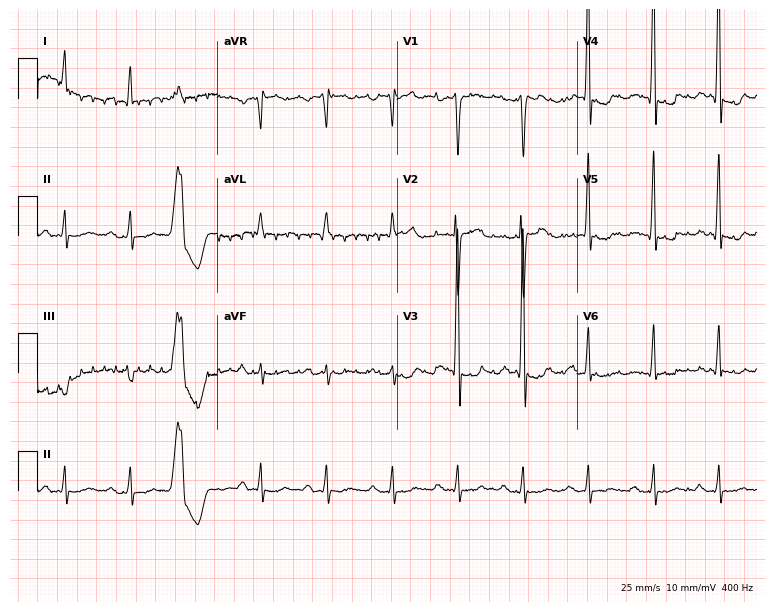
ECG — an 84-year-old male patient. Screened for six findings — first-degree AV block, right bundle branch block, left bundle branch block, sinus bradycardia, atrial fibrillation, sinus tachycardia — none is recorded. Other findings, if any, are not listed.